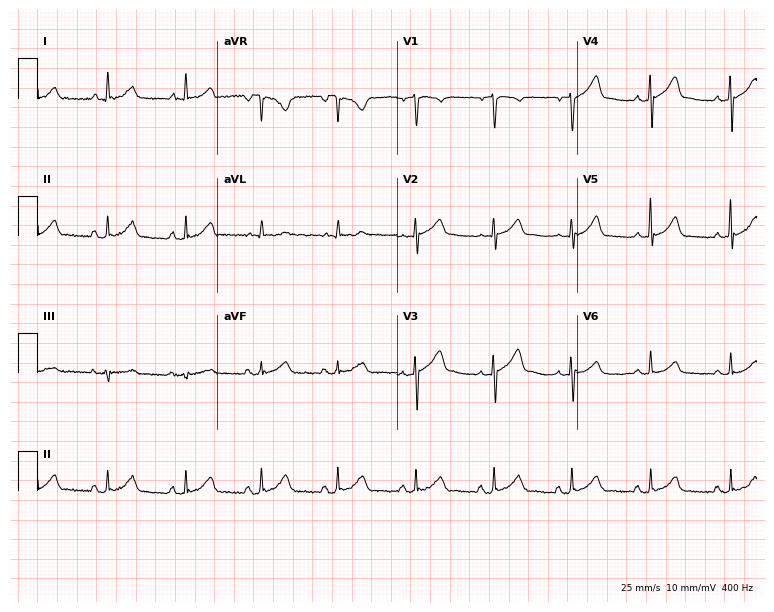
Electrocardiogram (7.3-second recording at 400 Hz), a male patient, 58 years old. Overall reading on record: normal ECG.